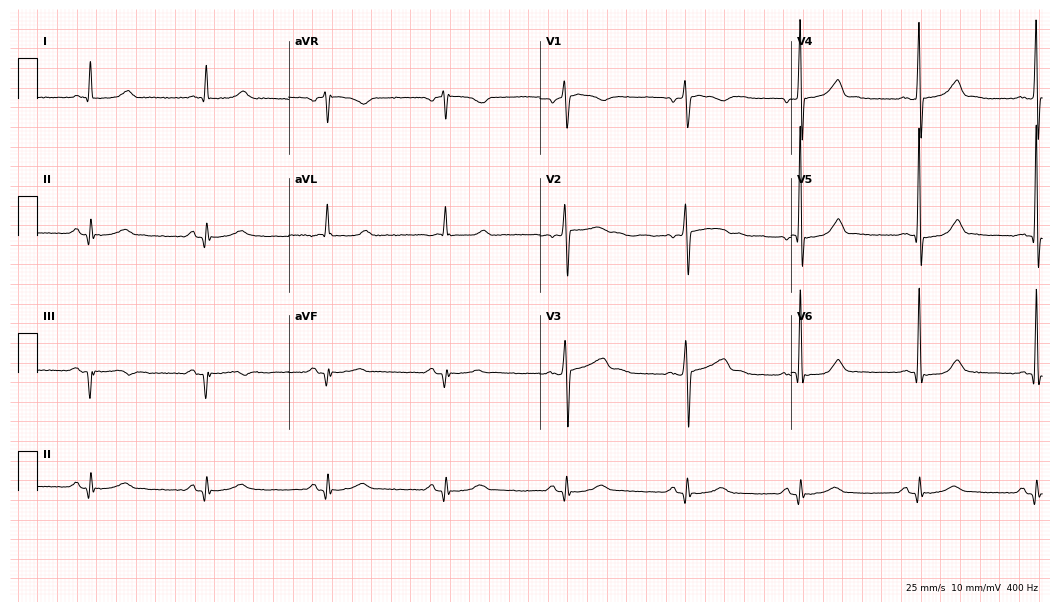
ECG (10.2-second recording at 400 Hz) — a man, 53 years old. Screened for six findings — first-degree AV block, right bundle branch block, left bundle branch block, sinus bradycardia, atrial fibrillation, sinus tachycardia — none is recorded. Other findings, if any, are not listed.